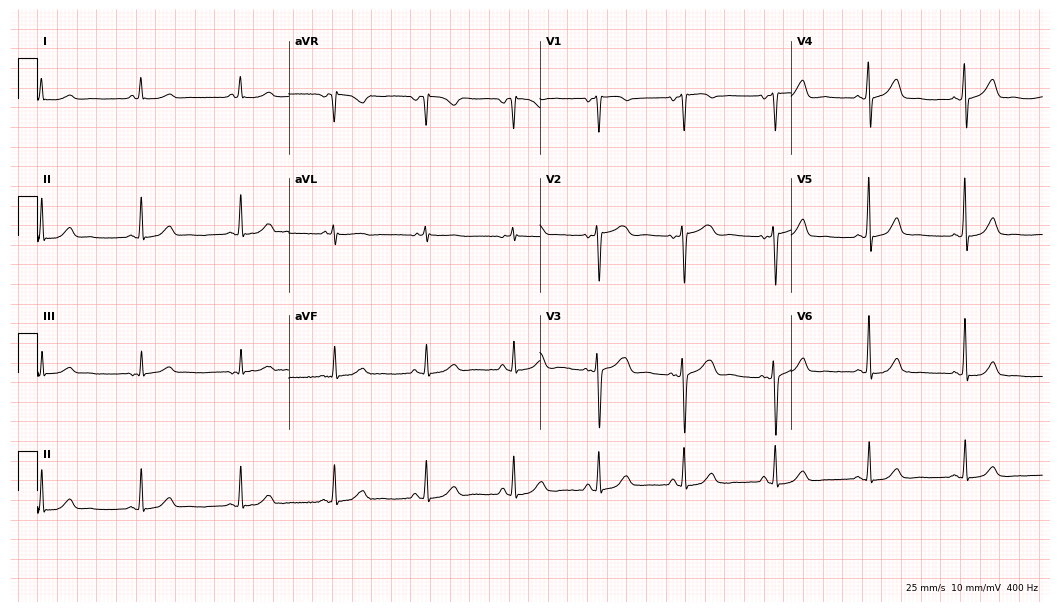
Electrocardiogram (10.2-second recording at 400 Hz), a female, 56 years old. Overall reading on record: normal ECG.